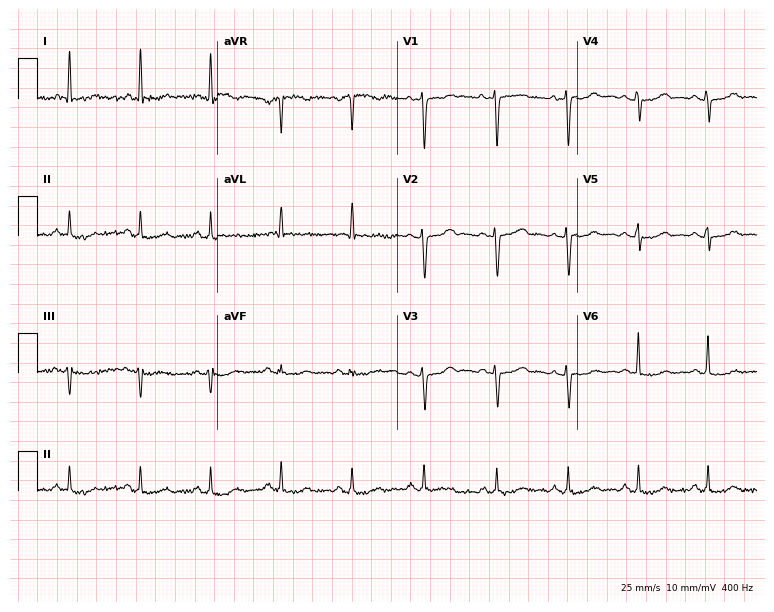
Resting 12-lead electrocardiogram. Patient: a 51-year-old woman. Read as a normal ECG.